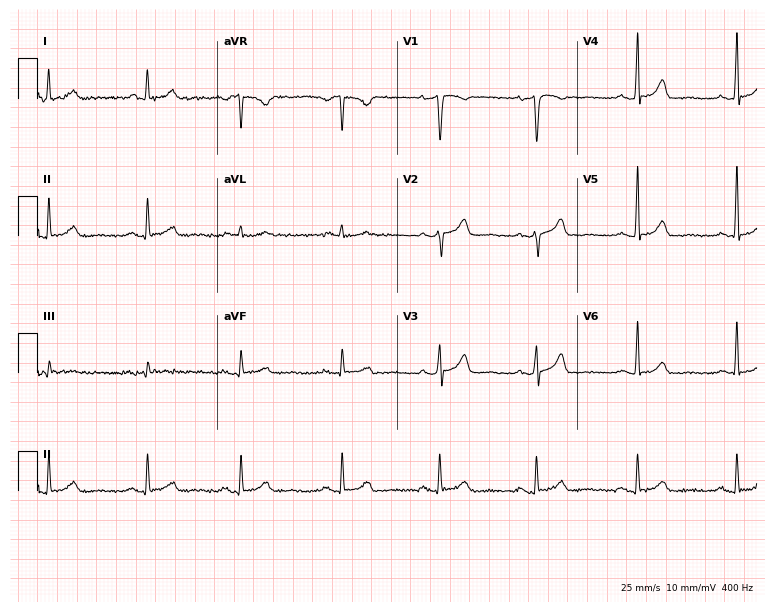
Electrocardiogram, a female, 46 years old. Of the six screened findings (first-degree AV block, right bundle branch block (RBBB), left bundle branch block (LBBB), sinus bradycardia, atrial fibrillation (AF), sinus tachycardia), none is recorded.